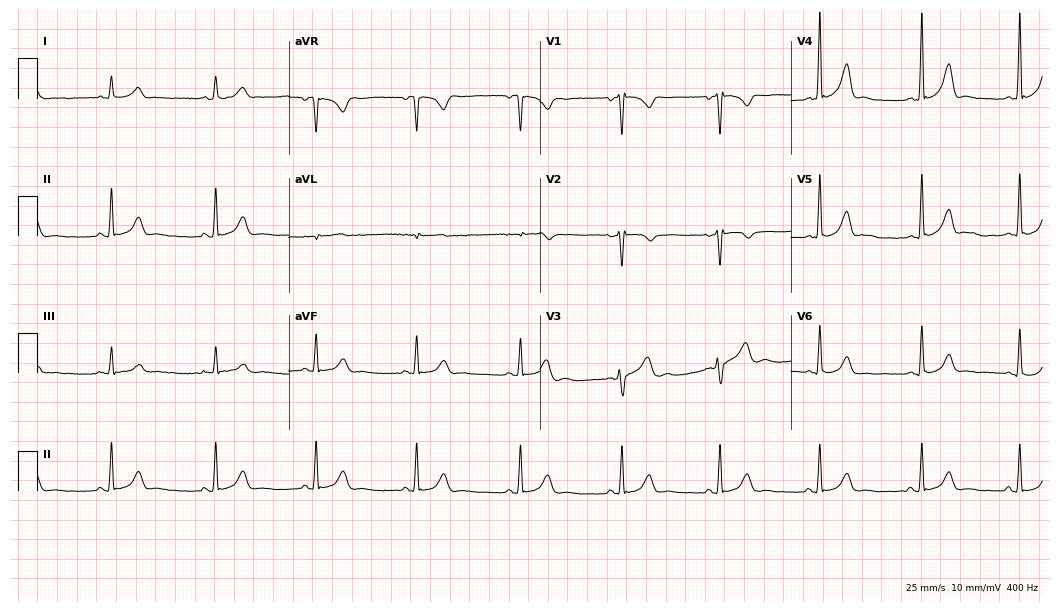
Standard 12-lead ECG recorded from a 31-year-old female (10.2-second recording at 400 Hz). None of these six findings is recorded: first-degree AV block, right bundle branch block, left bundle branch block, sinus bradycardia, atrial fibrillation, sinus tachycardia.